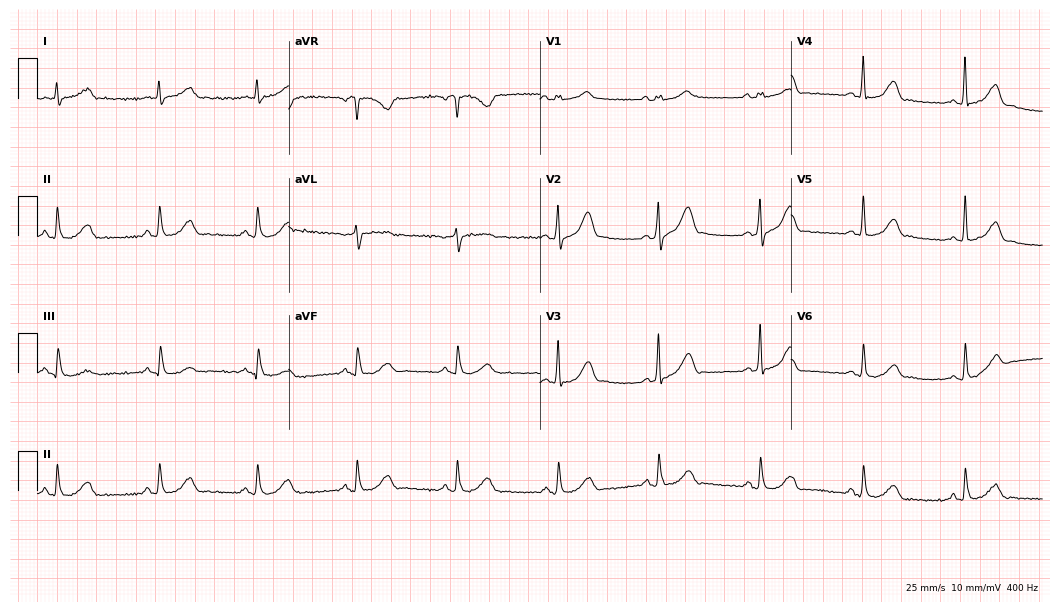
12-lead ECG from a 63-year-old male patient. Labelled as a normal ECG.